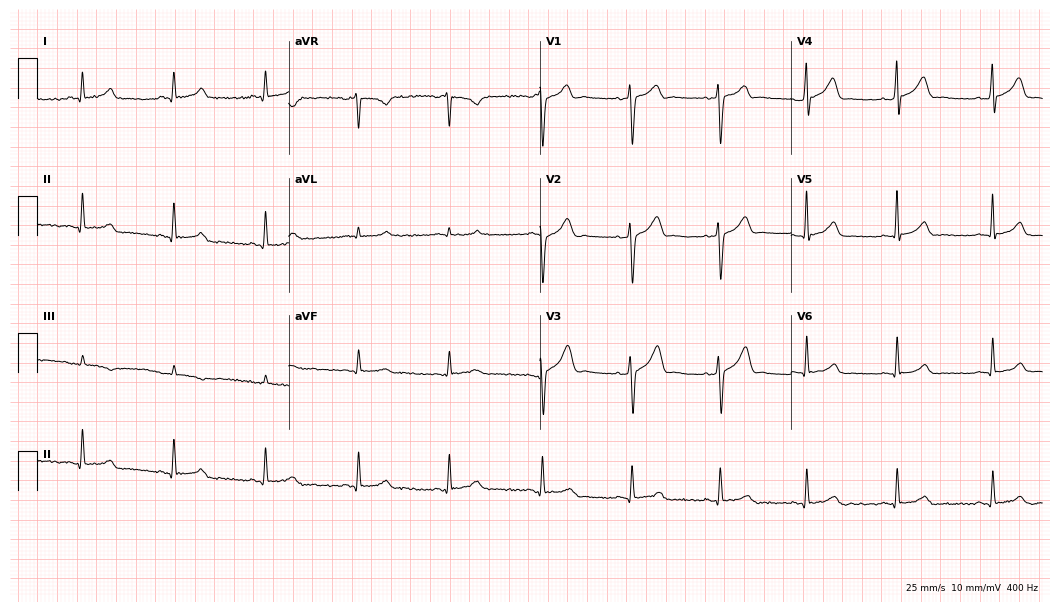
ECG — a 30-year-old male patient. Screened for six findings — first-degree AV block, right bundle branch block (RBBB), left bundle branch block (LBBB), sinus bradycardia, atrial fibrillation (AF), sinus tachycardia — none is recorded. Other findings, if any, are not listed.